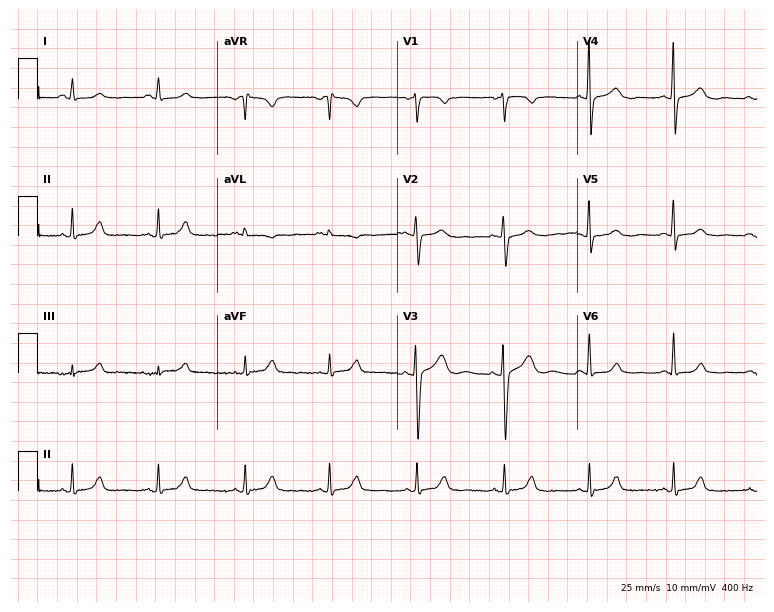
12-lead ECG from a 55-year-old woman. Recorded interpretation: within normal limits.